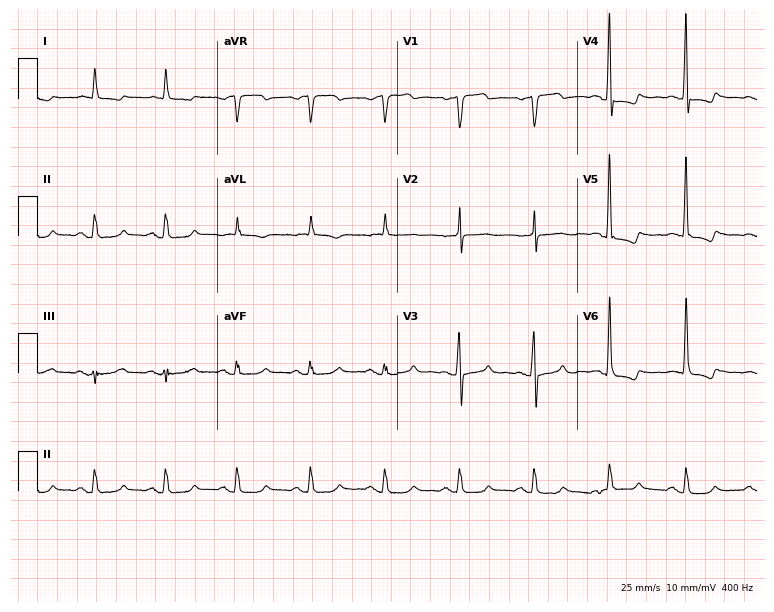
12-lead ECG from a 71-year-old man (7.3-second recording at 400 Hz). No first-degree AV block, right bundle branch block, left bundle branch block, sinus bradycardia, atrial fibrillation or sinus tachycardia recorded for this tracing. Findings outside these six are not listed.